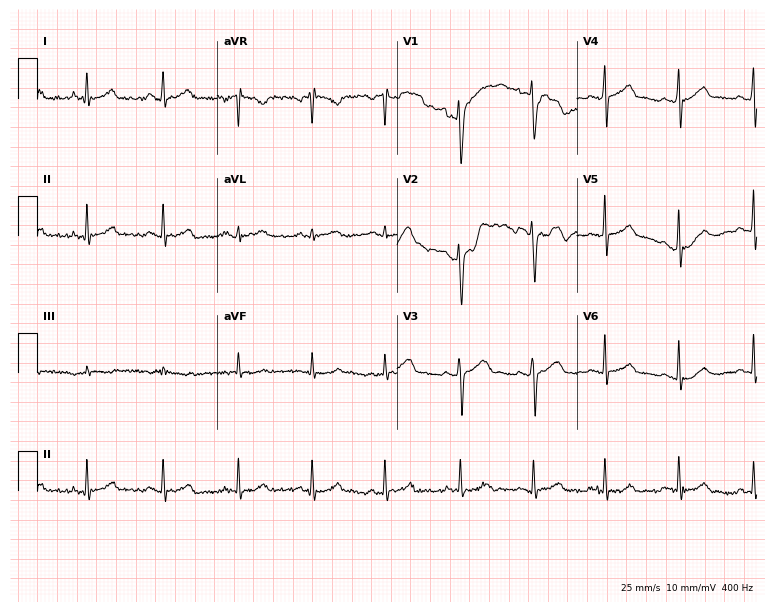
Electrocardiogram (7.3-second recording at 400 Hz), a 24-year-old man. Overall reading on record: normal ECG.